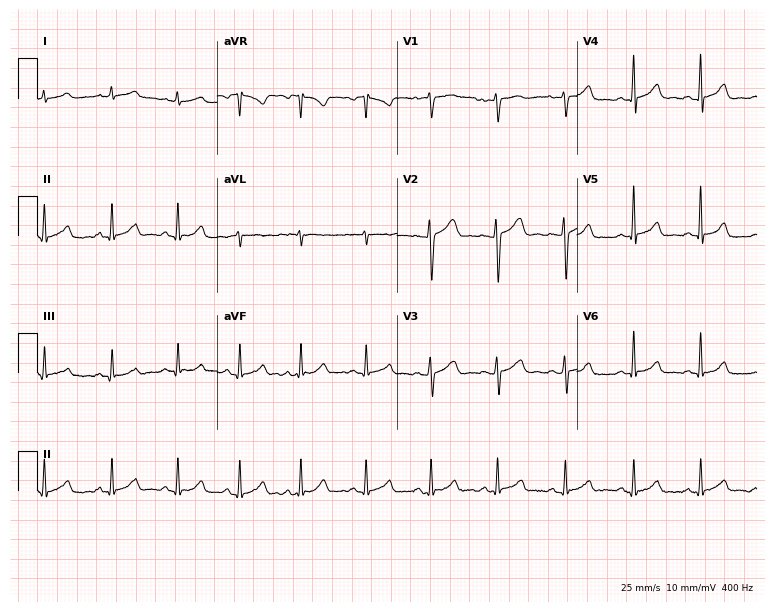
ECG (7.3-second recording at 400 Hz) — a 32-year-old woman. Labelled as a normal ECG.